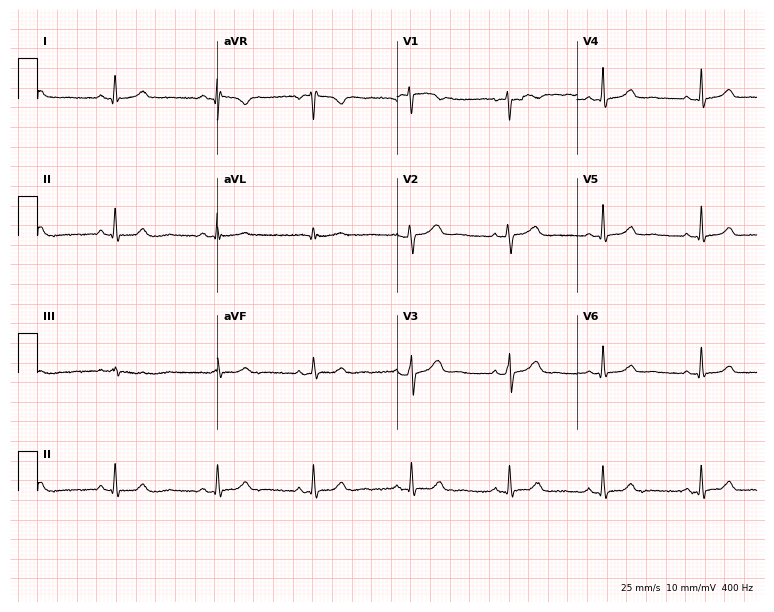
Standard 12-lead ECG recorded from a woman, 38 years old. None of these six findings is recorded: first-degree AV block, right bundle branch block, left bundle branch block, sinus bradycardia, atrial fibrillation, sinus tachycardia.